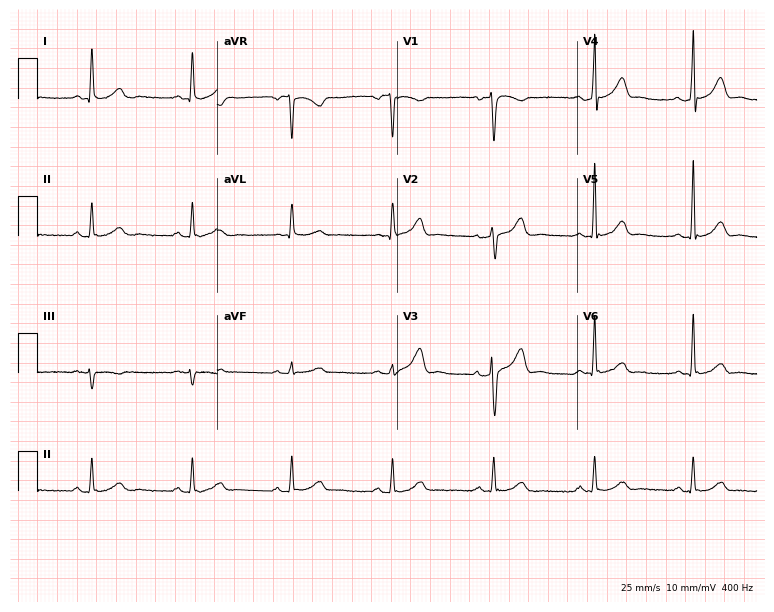
12-lead ECG (7.3-second recording at 400 Hz) from a 57-year-old male. Labelled as a normal ECG.